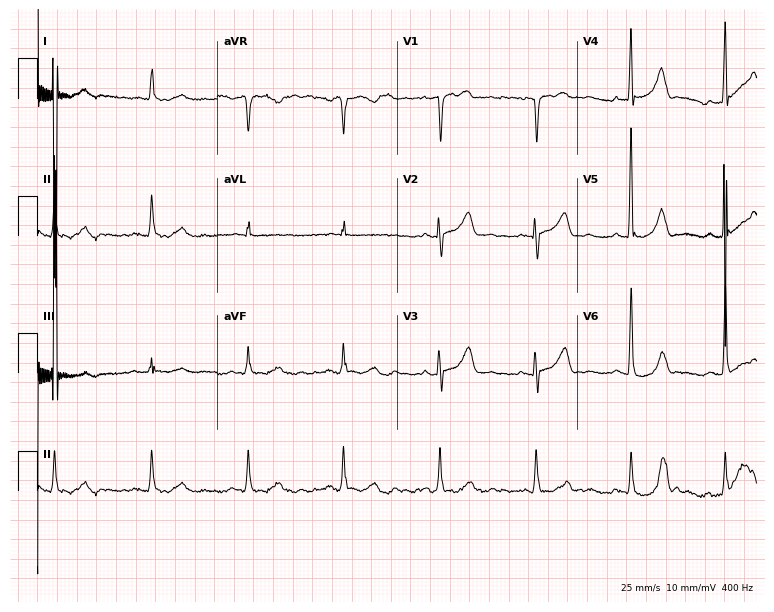
12-lead ECG from a woman, 81 years old. Recorded interpretation: within normal limits.